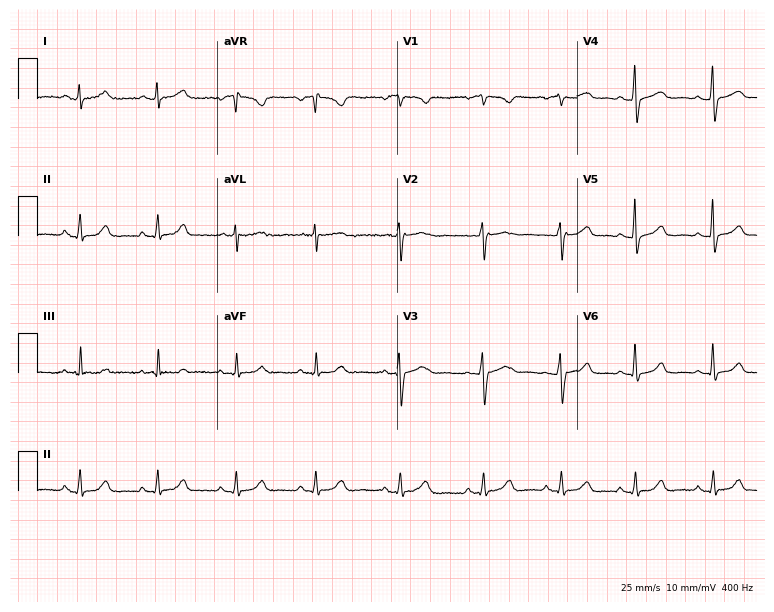
12-lead ECG from a woman, 37 years old. Labelled as a normal ECG.